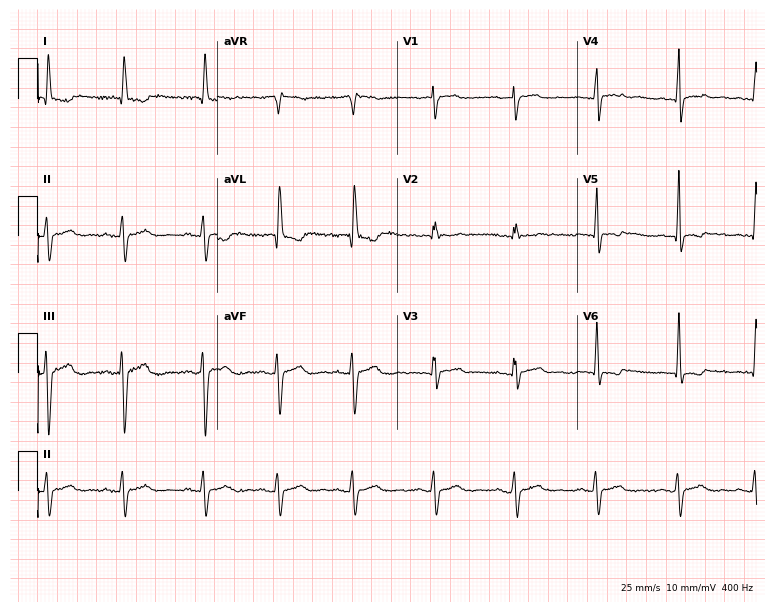
12-lead ECG (7.3-second recording at 400 Hz) from a woman, 82 years old. Screened for six findings — first-degree AV block, right bundle branch block, left bundle branch block, sinus bradycardia, atrial fibrillation, sinus tachycardia — none is recorded.